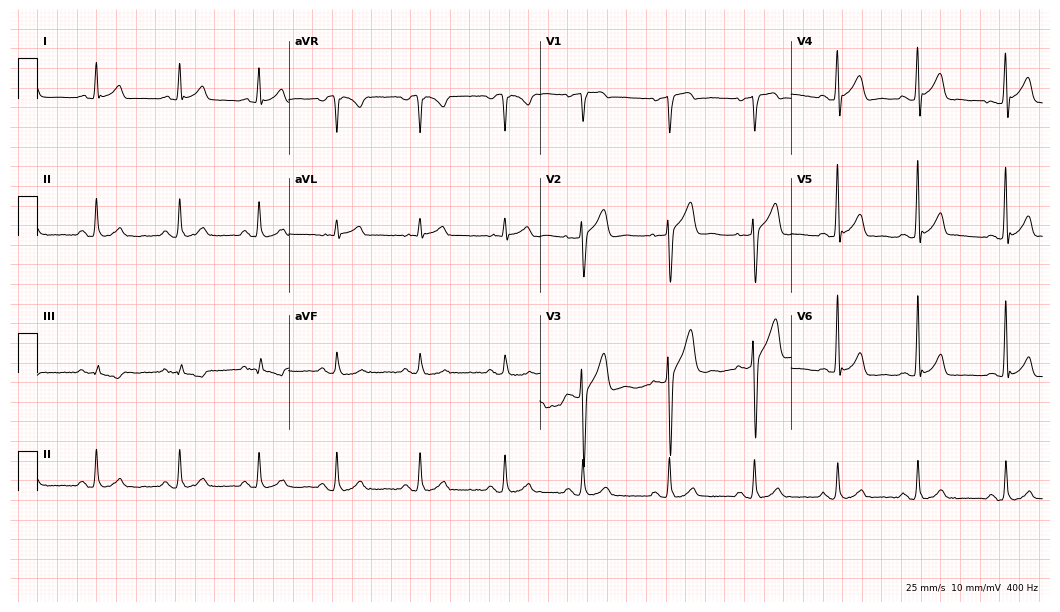
ECG — a man, 44 years old. Labelled as a normal ECG.